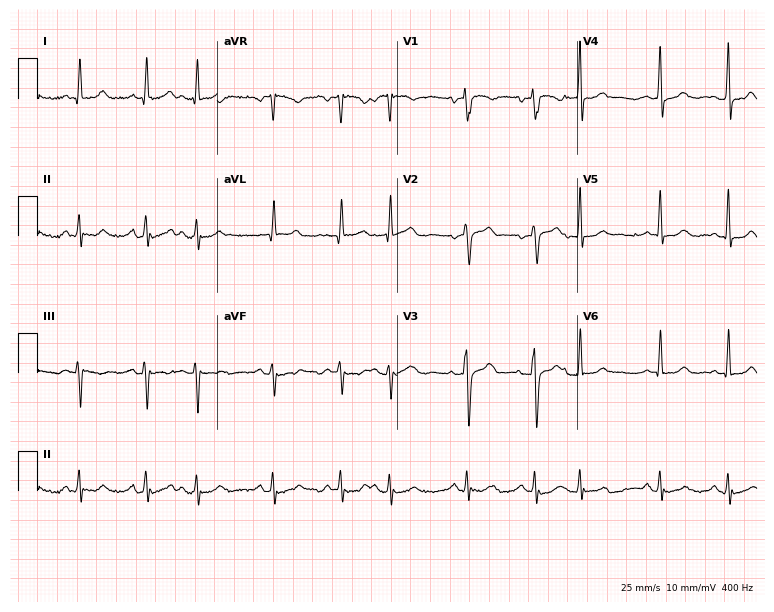
Standard 12-lead ECG recorded from a 73-year-old male patient (7.3-second recording at 400 Hz). None of these six findings is recorded: first-degree AV block, right bundle branch block (RBBB), left bundle branch block (LBBB), sinus bradycardia, atrial fibrillation (AF), sinus tachycardia. Other findings, if any, are not listed.